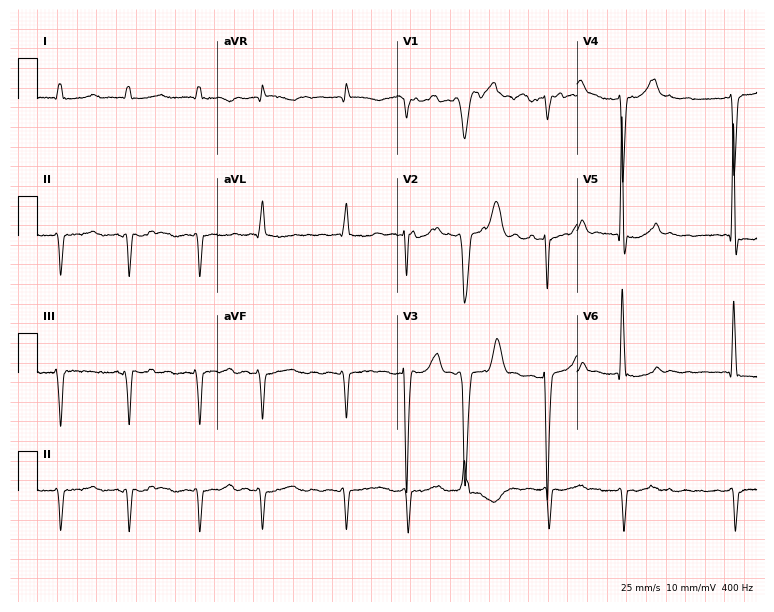
Electrocardiogram, a male, 61 years old. Interpretation includes atrial fibrillation (AF).